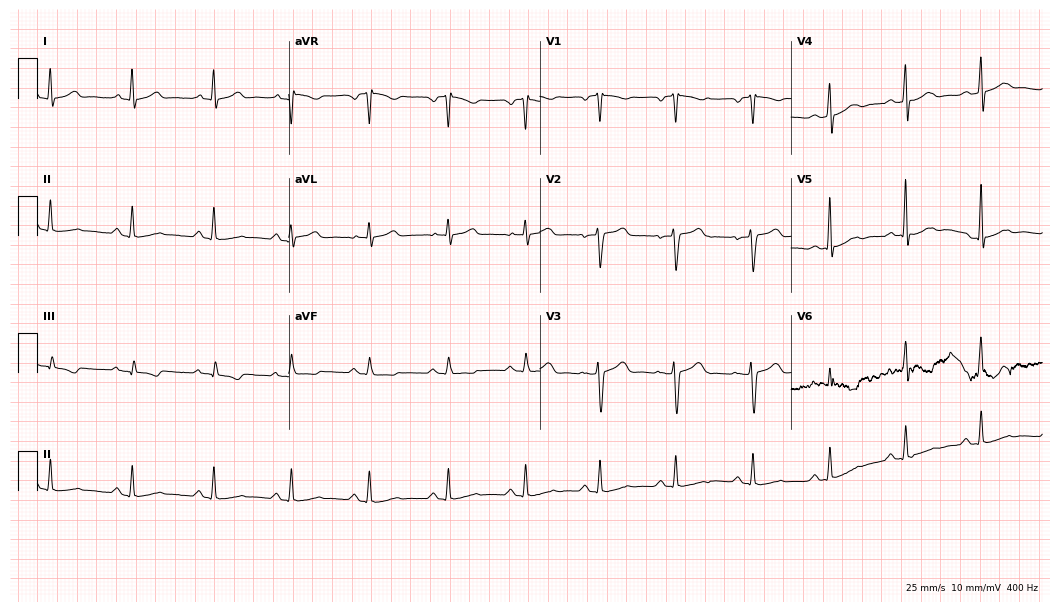
Electrocardiogram, a female, 38 years old. Overall reading on record: normal ECG.